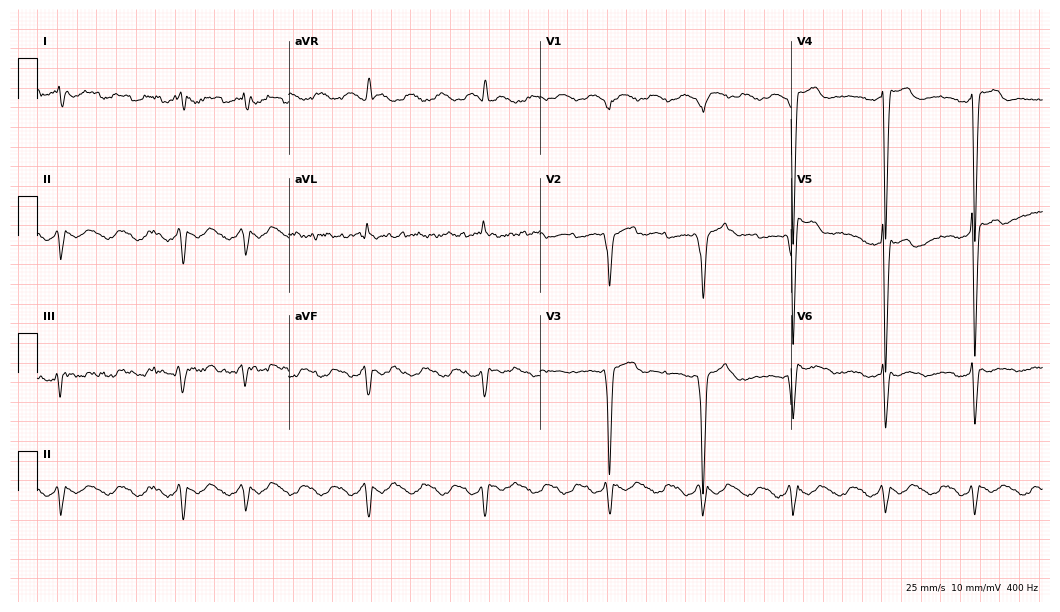
Standard 12-lead ECG recorded from a 52-year-old male patient. None of these six findings is recorded: first-degree AV block, right bundle branch block (RBBB), left bundle branch block (LBBB), sinus bradycardia, atrial fibrillation (AF), sinus tachycardia.